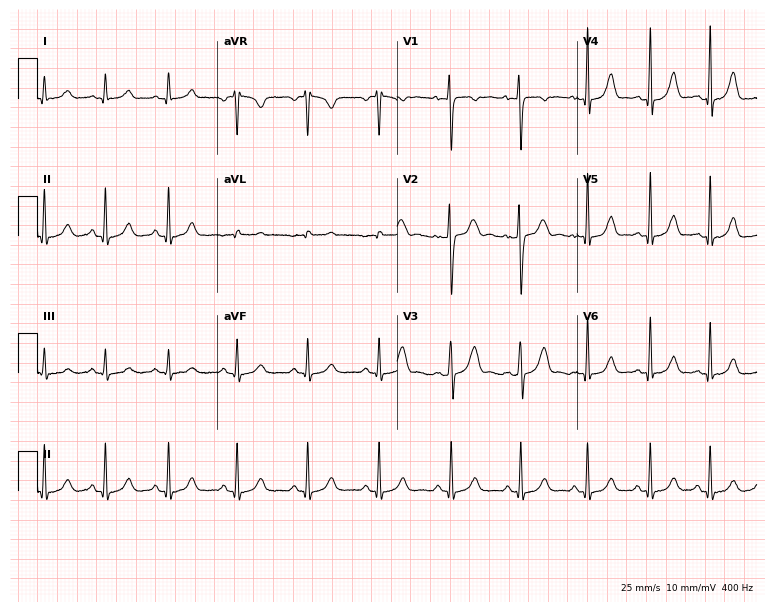
Resting 12-lead electrocardiogram. Patient: a female, 33 years old. None of these six findings is recorded: first-degree AV block, right bundle branch block, left bundle branch block, sinus bradycardia, atrial fibrillation, sinus tachycardia.